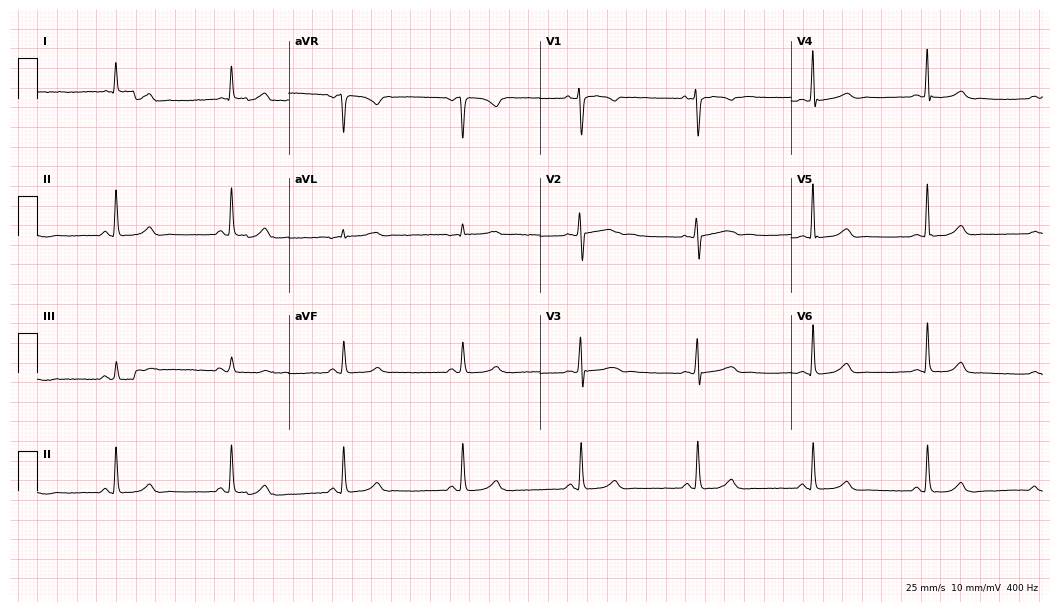
Standard 12-lead ECG recorded from a woman, 46 years old. Read as a normal ECG.